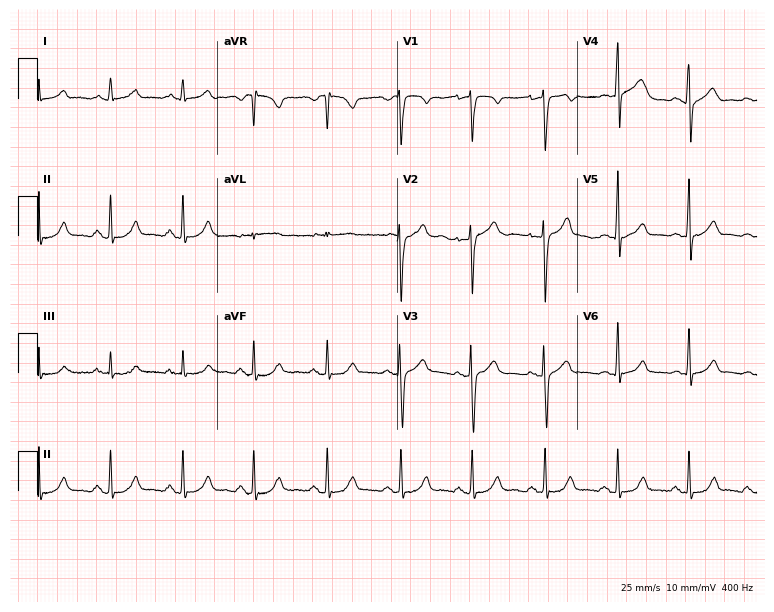
ECG (7.3-second recording at 400 Hz) — a man, 43 years old. Screened for six findings — first-degree AV block, right bundle branch block, left bundle branch block, sinus bradycardia, atrial fibrillation, sinus tachycardia — none is recorded.